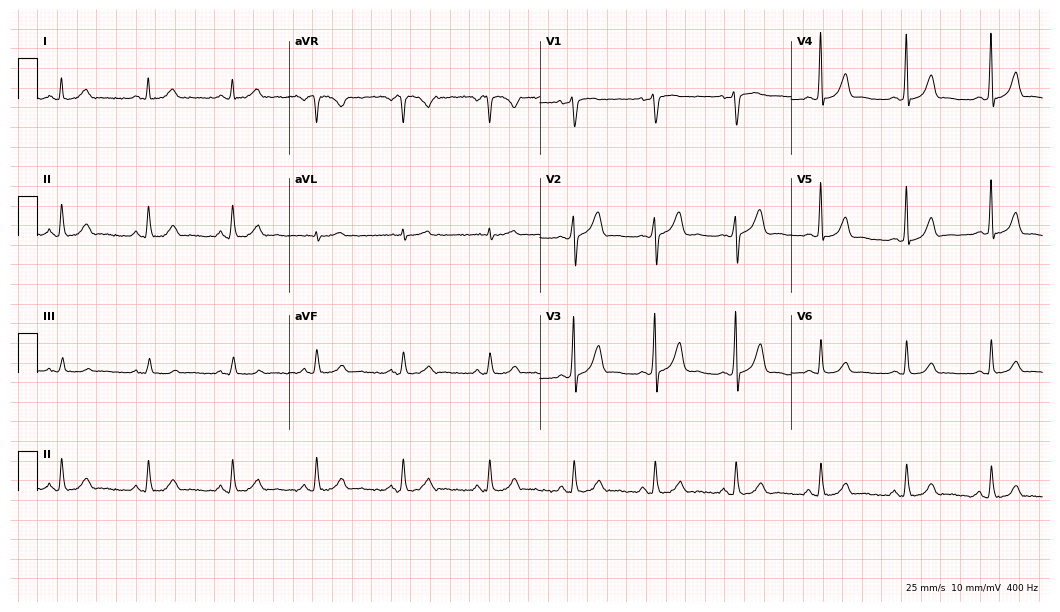
Resting 12-lead electrocardiogram (10.2-second recording at 400 Hz). Patient: a woman, 39 years old. None of these six findings is recorded: first-degree AV block, right bundle branch block, left bundle branch block, sinus bradycardia, atrial fibrillation, sinus tachycardia.